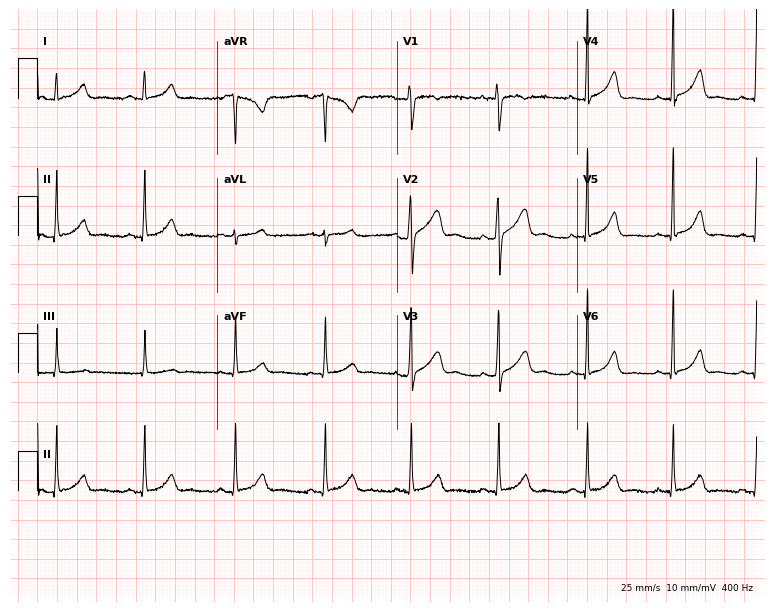
12-lead ECG from a 28-year-old female (7.3-second recording at 400 Hz). Recorded interpretation: within normal limits.